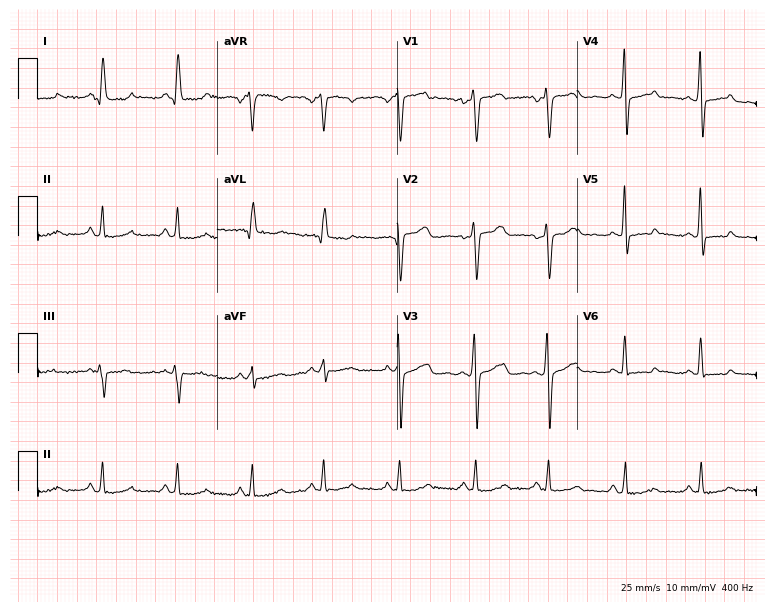
ECG (7.3-second recording at 400 Hz) — a 42-year-old female. Screened for six findings — first-degree AV block, right bundle branch block, left bundle branch block, sinus bradycardia, atrial fibrillation, sinus tachycardia — none is recorded.